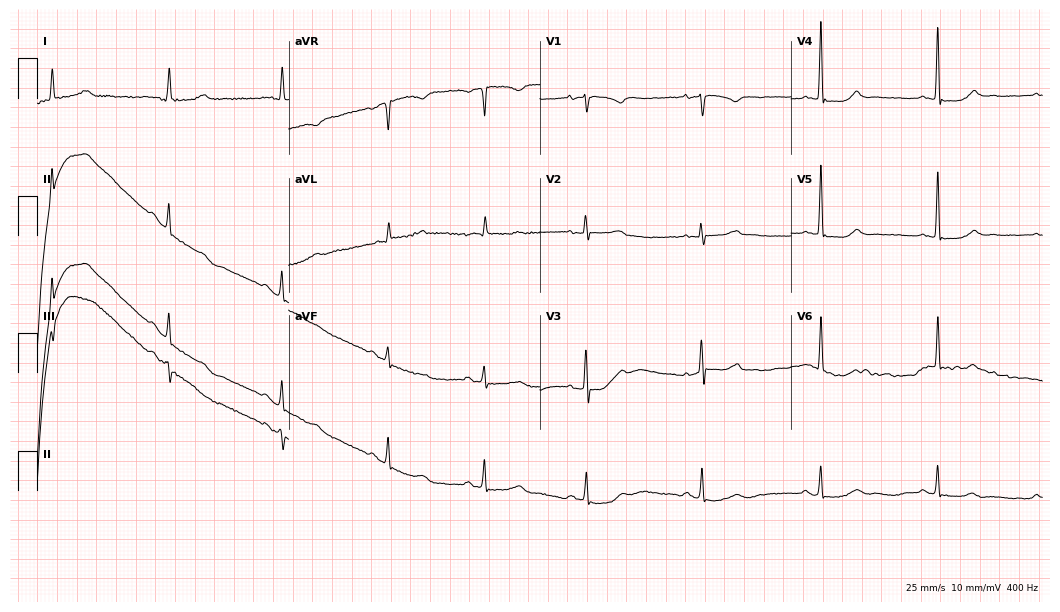
Standard 12-lead ECG recorded from an 84-year-old woman. None of these six findings is recorded: first-degree AV block, right bundle branch block (RBBB), left bundle branch block (LBBB), sinus bradycardia, atrial fibrillation (AF), sinus tachycardia. Findings outside these six are not listed.